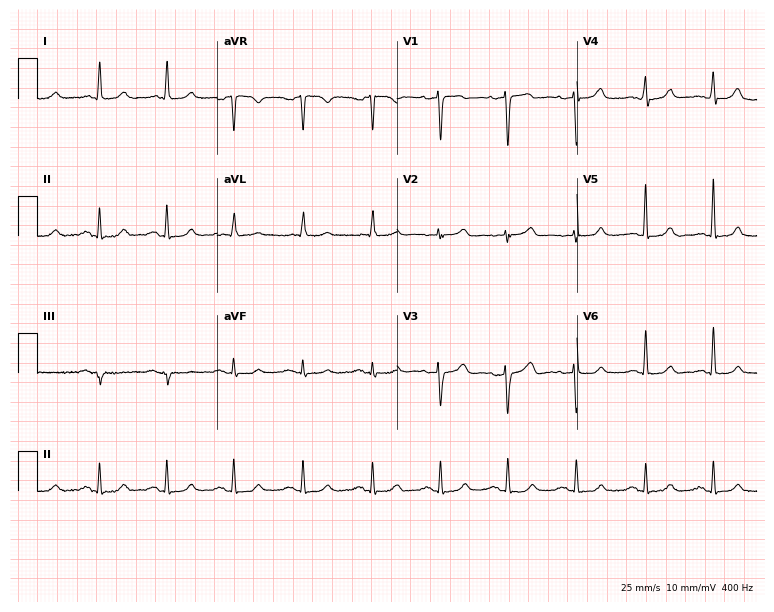
12-lead ECG from a female, 78 years old. No first-degree AV block, right bundle branch block, left bundle branch block, sinus bradycardia, atrial fibrillation or sinus tachycardia recorded for this tracing.